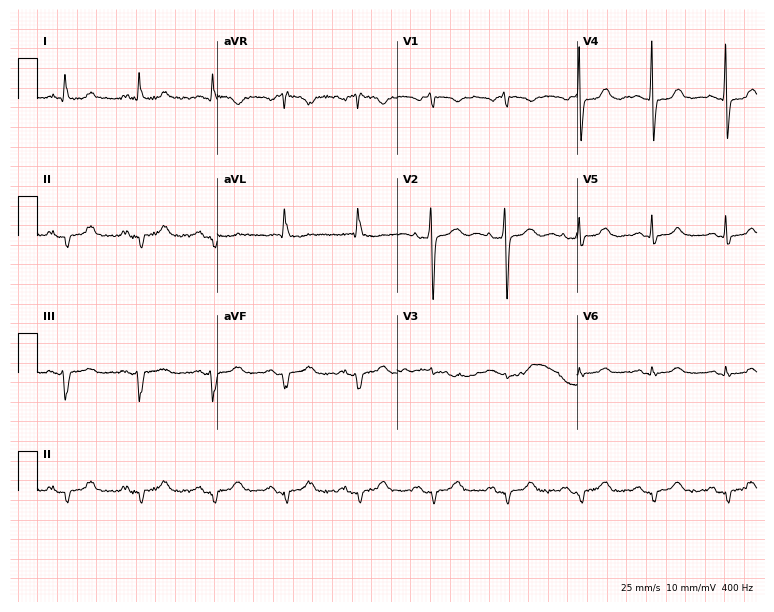
Resting 12-lead electrocardiogram. Patient: a 76-year-old female. None of these six findings is recorded: first-degree AV block, right bundle branch block, left bundle branch block, sinus bradycardia, atrial fibrillation, sinus tachycardia.